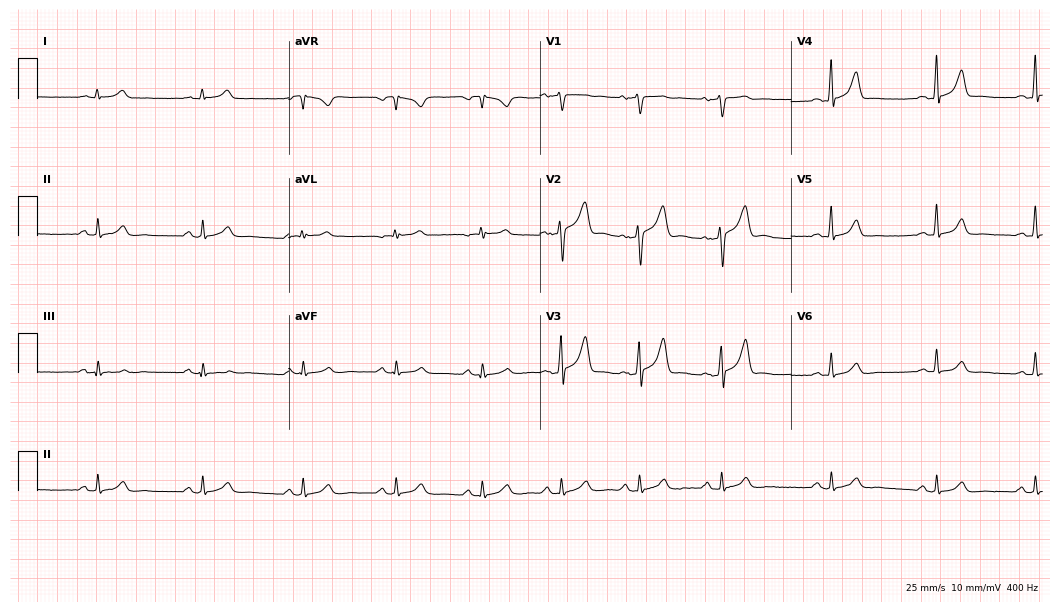
12-lead ECG from a male patient, 40 years old. Recorded interpretation: within normal limits.